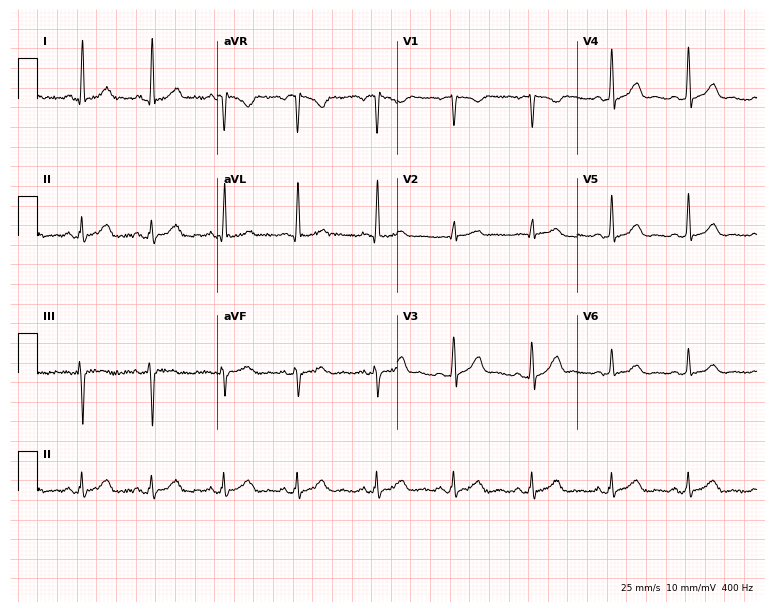
Resting 12-lead electrocardiogram (7.3-second recording at 400 Hz). Patient: a 25-year-old female. None of these six findings is recorded: first-degree AV block, right bundle branch block, left bundle branch block, sinus bradycardia, atrial fibrillation, sinus tachycardia. Findings outside these six are not listed.